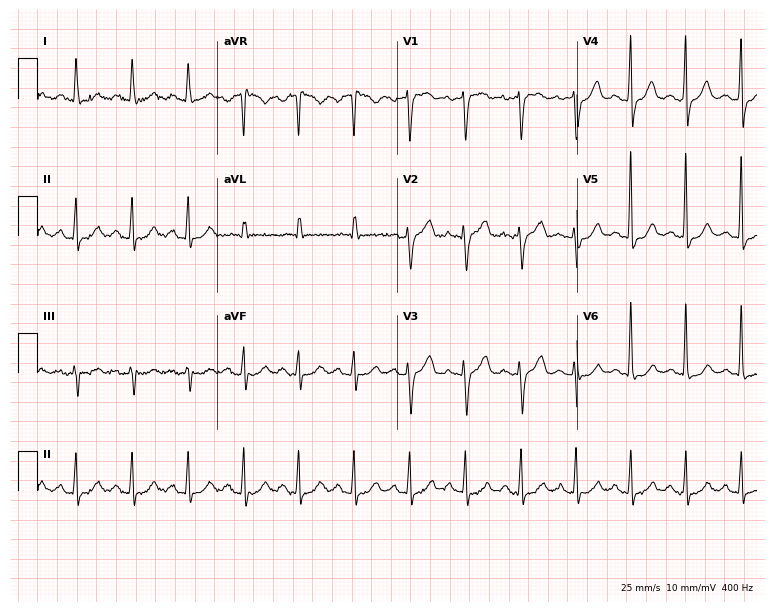
12-lead ECG from a 70-year-old female. Shows sinus tachycardia (a sinus rate of 100 beats per minute or more).